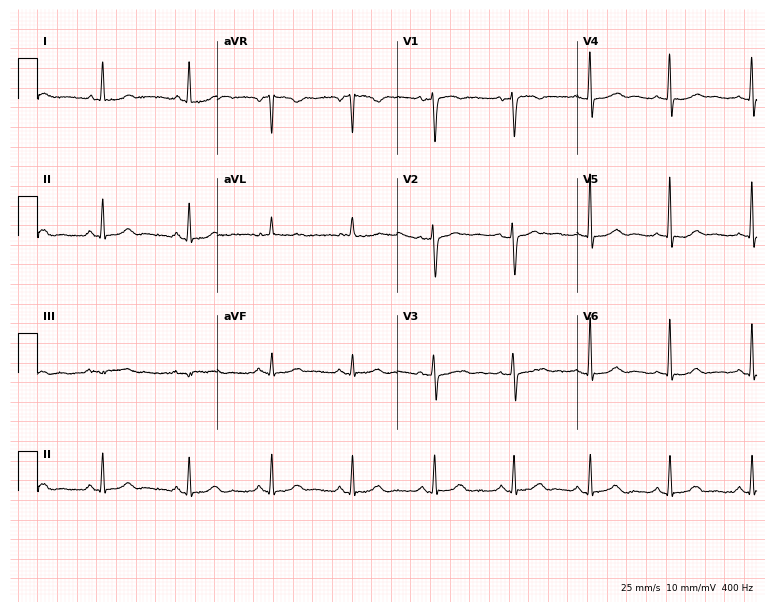
12-lead ECG from a woman, 61 years old. Screened for six findings — first-degree AV block, right bundle branch block (RBBB), left bundle branch block (LBBB), sinus bradycardia, atrial fibrillation (AF), sinus tachycardia — none is recorded. Findings outside these six are not listed.